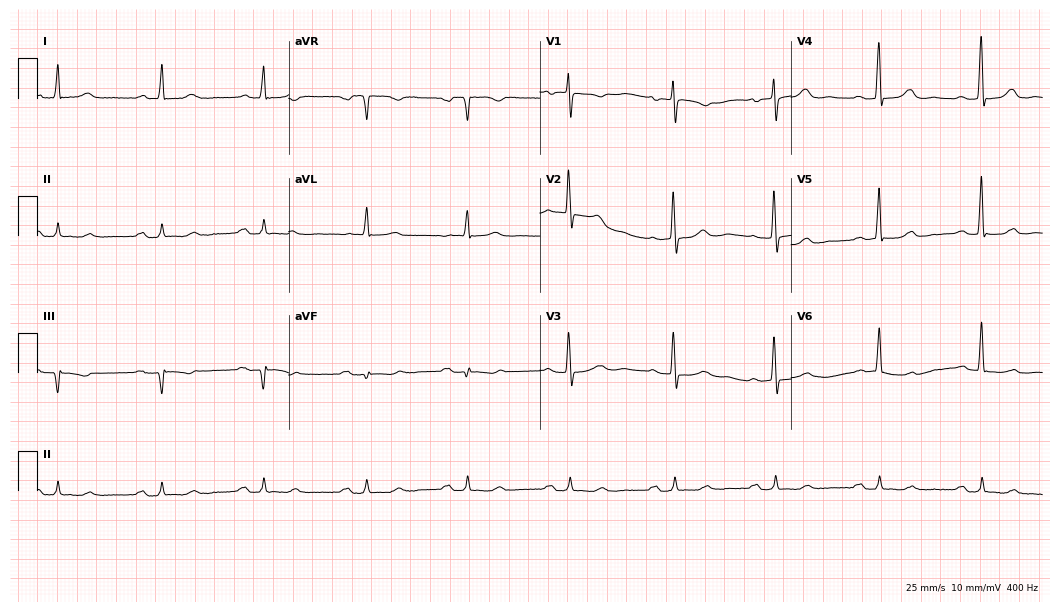
Resting 12-lead electrocardiogram (10.2-second recording at 400 Hz). Patient: a 71-year-old female. The tracing shows first-degree AV block.